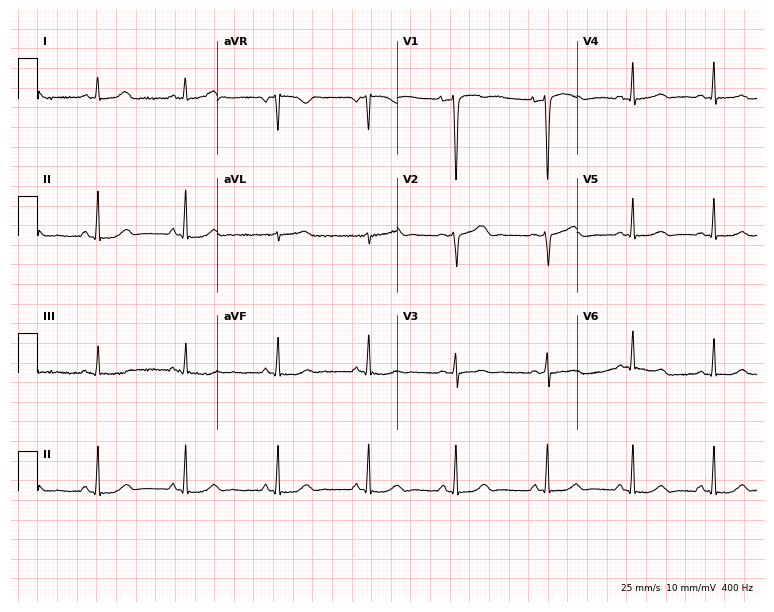
12-lead ECG from a female, 26 years old. Labelled as a normal ECG.